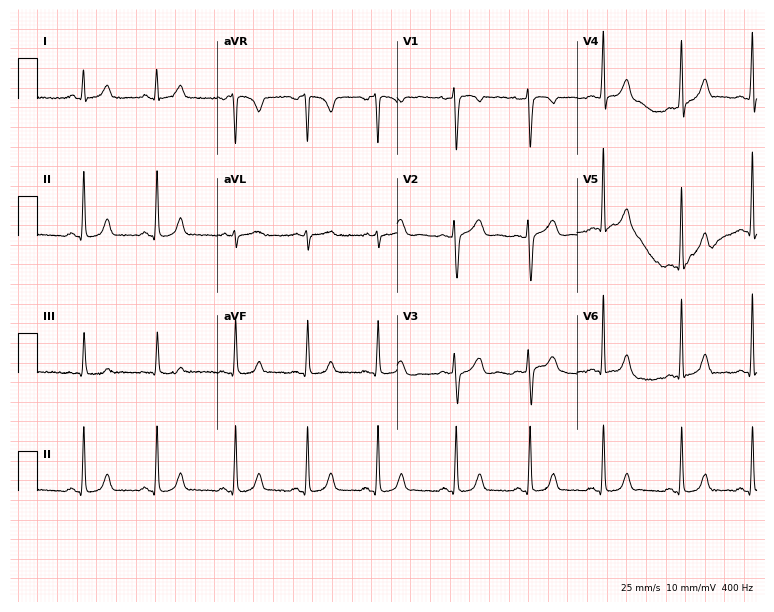
12-lead ECG from a 30-year-old woman. Recorded interpretation: within normal limits.